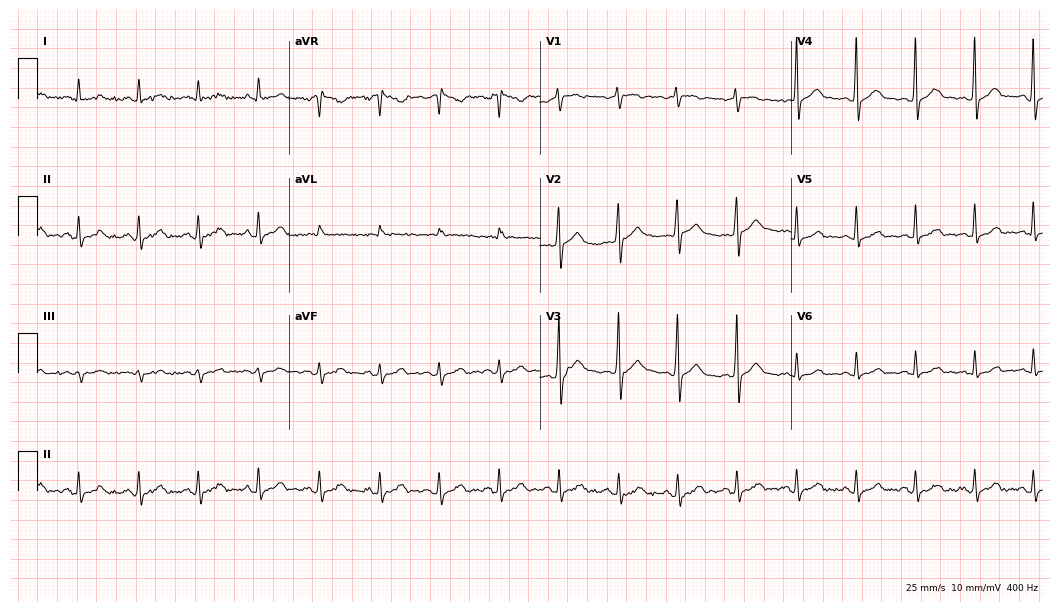
12-lead ECG from a 50-year-old man. Labelled as a normal ECG.